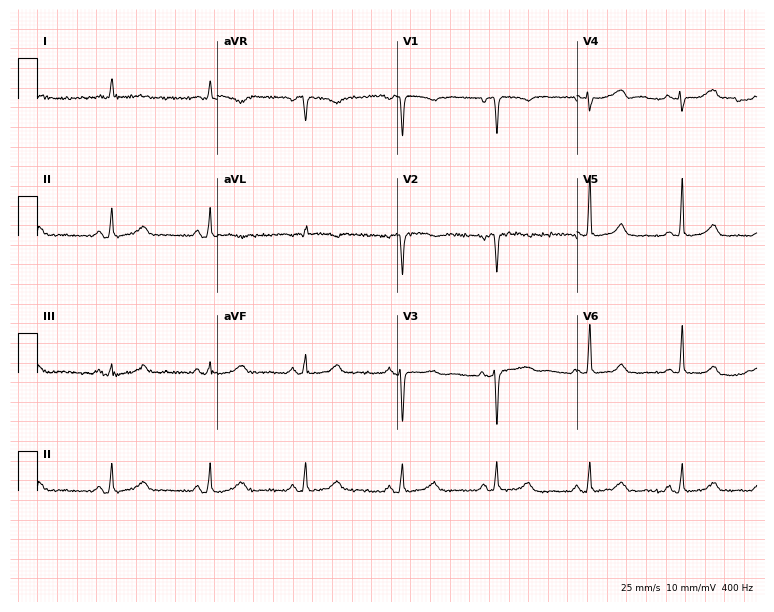
Electrocardiogram (7.3-second recording at 400 Hz), a female, 76 years old. Of the six screened findings (first-degree AV block, right bundle branch block (RBBB), left bundle branch block (LBBB), sinus bradycardia, atrial fibrillation (AF), sinus tachycardia), none is recorded.